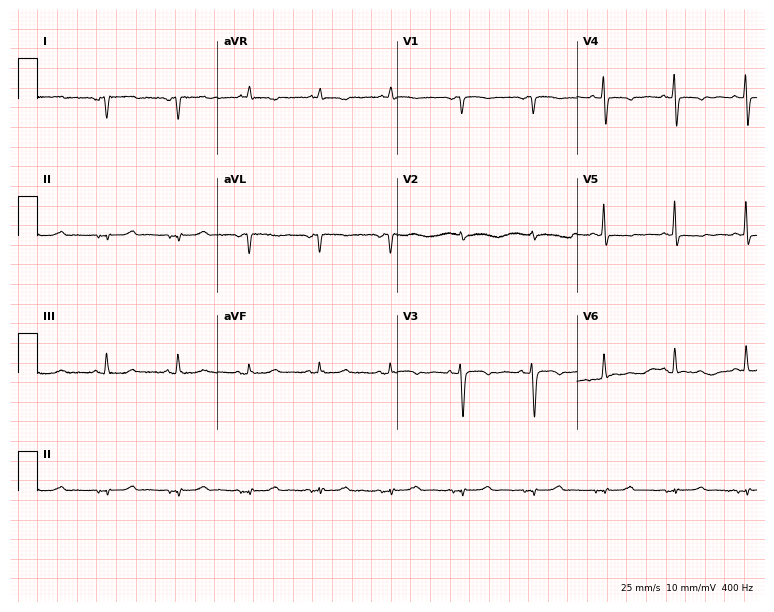
12-lead ECG from a female, 67 years old. Screened for six findings — first-degree AV block, right bundle branch block, left bundle branch block, sinus bradycardia, atrial fibrillation, sinus tachycardia — none is recorded. Other findings, if any, are not listed.